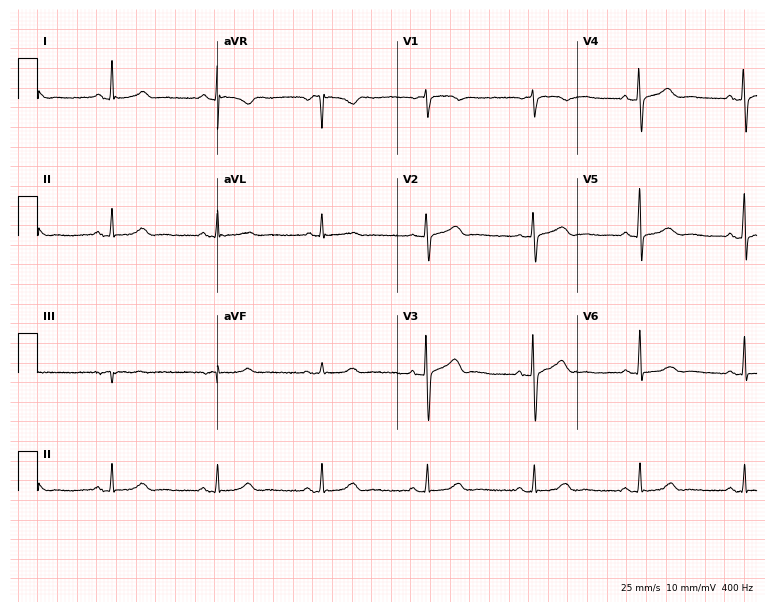
12-lead ECG from a female patient, 63 years old. Labelled as a normal ECG.